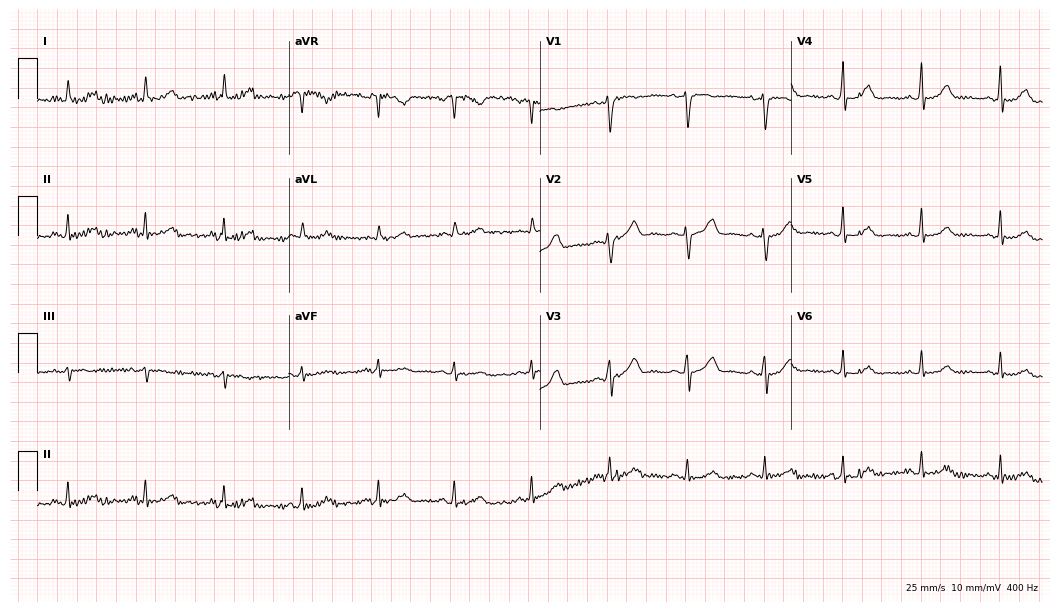
Electrocardiogram (10.2-second recording at 400 Hz), a 53-year-old female. Overall reading on record: normal ECG.